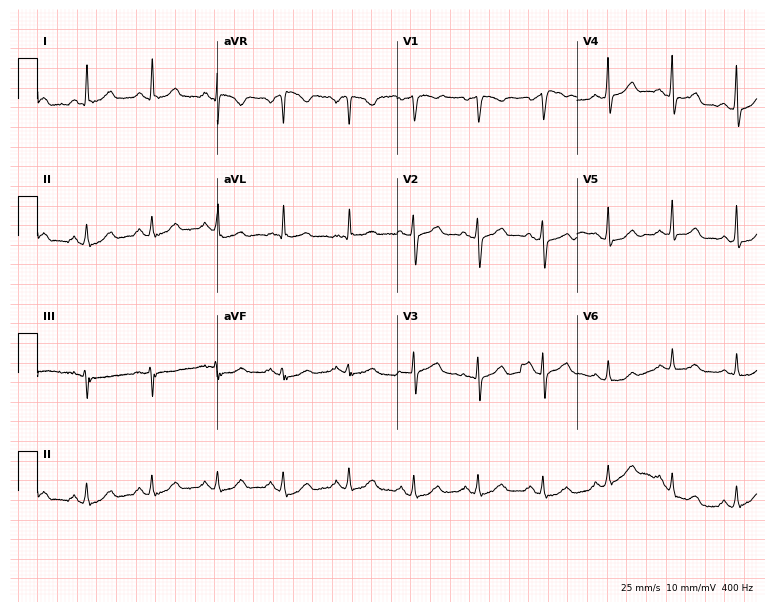
12-lead ECG from a 62-year-old female (7.3-second recording at 400 Hz). Recorded interpretation: within normal limits.